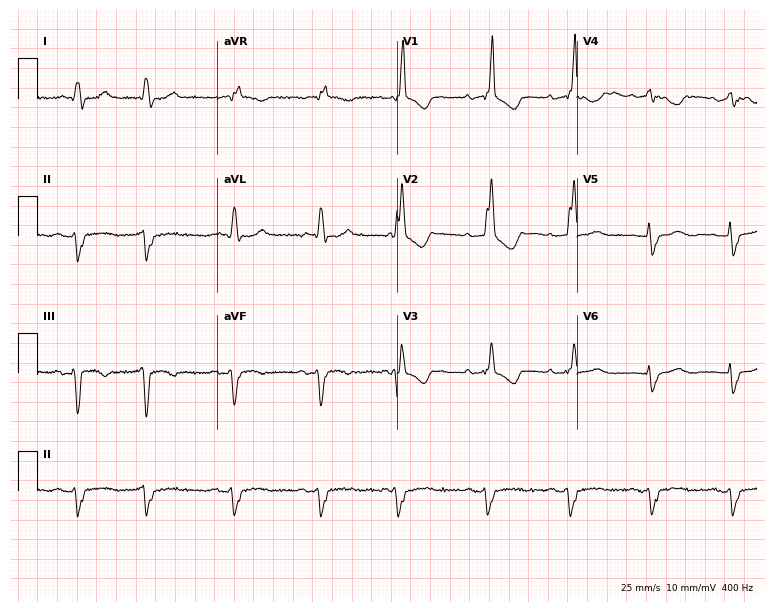
Resting 12-lead electrocardiogram. Patient: an 88-year-old female. The tracing shows right bundle branch block.